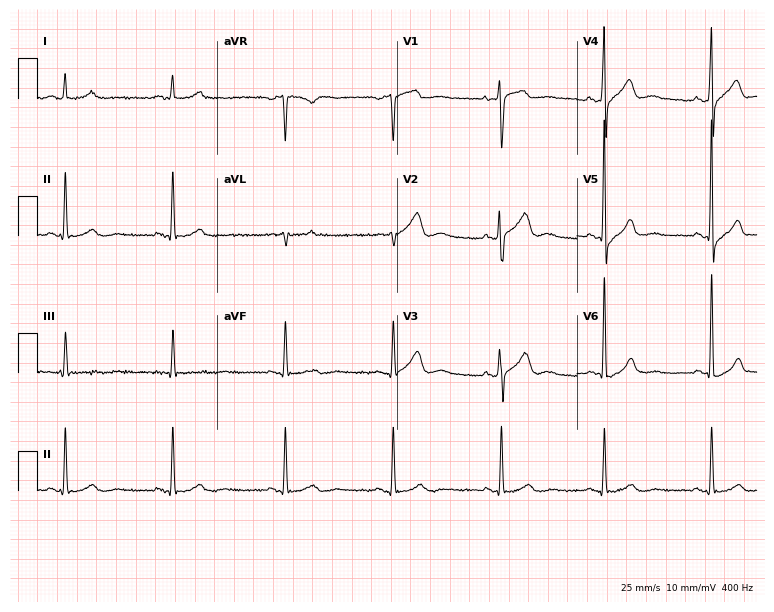
Electrocardiogram, a male, 29 years old. Of the six screened findings (first-degree AV block, right bundle branch block, left bundle branch block, sinus bradycardia, atrial fibrillation, sinus tachycardia), none is recorded.